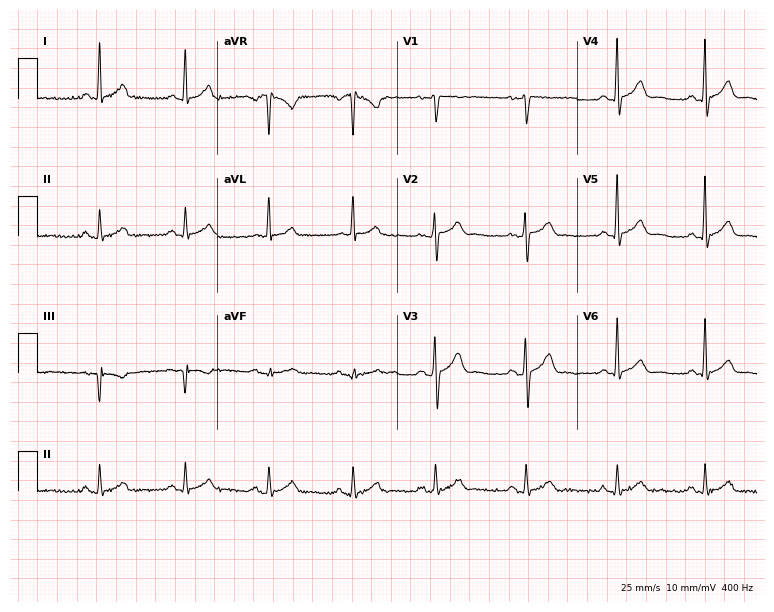
Standard 12-lead ECG recorded from a man, 56 years old. Read as a normal ECG.